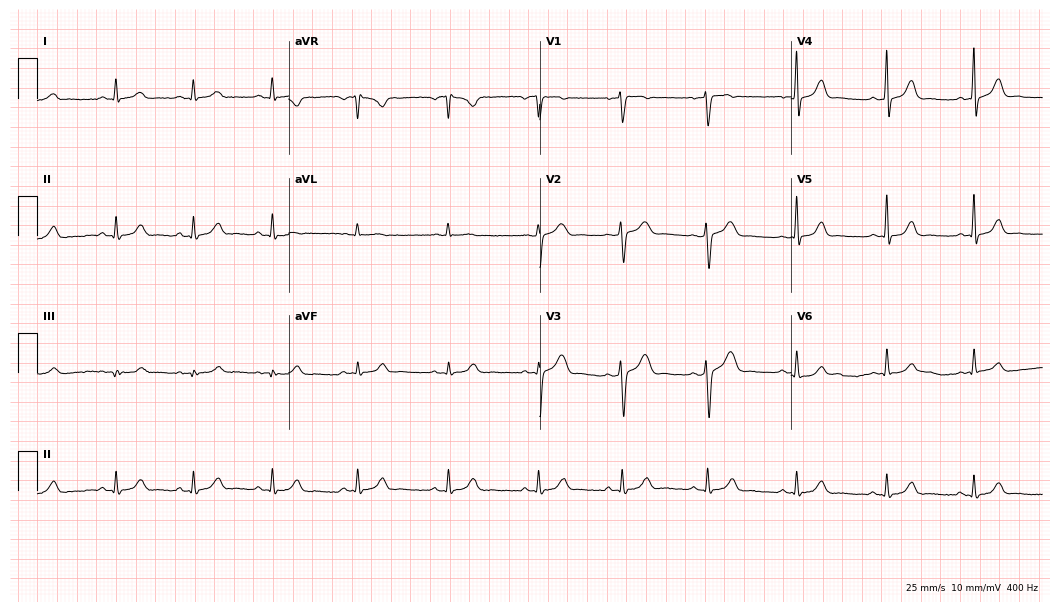
12-lead ECG from a woman, 42 years old. Recorded interpretation: within normal limits.